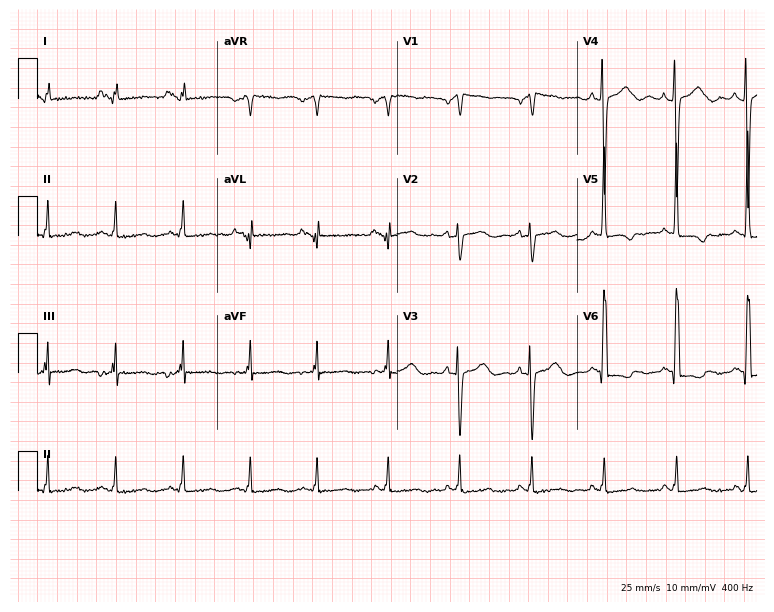
12-lead ECG from a woman, 51 years old. No first-degree AV block, right bundle branch block (RBBB), left bundle branch block (LBBB), sinus bradycardia, atrial fibrillation (AF) or sinus tachycardia recorded for this tracing.